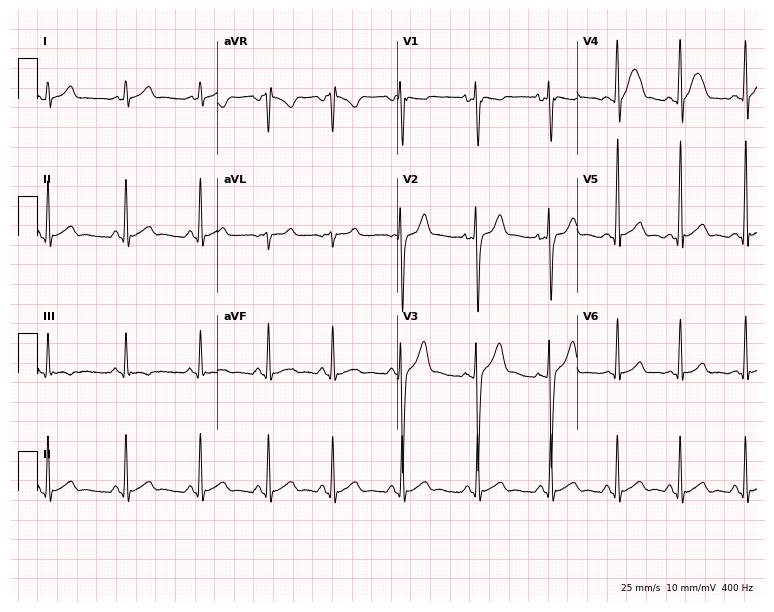
Electrocardiogram (7.3-second recording at 400 Hz), an 18-year-old man. Of the six screened findings (first-degree AV block, right bundle branch block, left bundle branch block, sinus bradycardia, atrial fibrillation, sinus tachycardia), none is recorded. Findings outside these six are not listed.